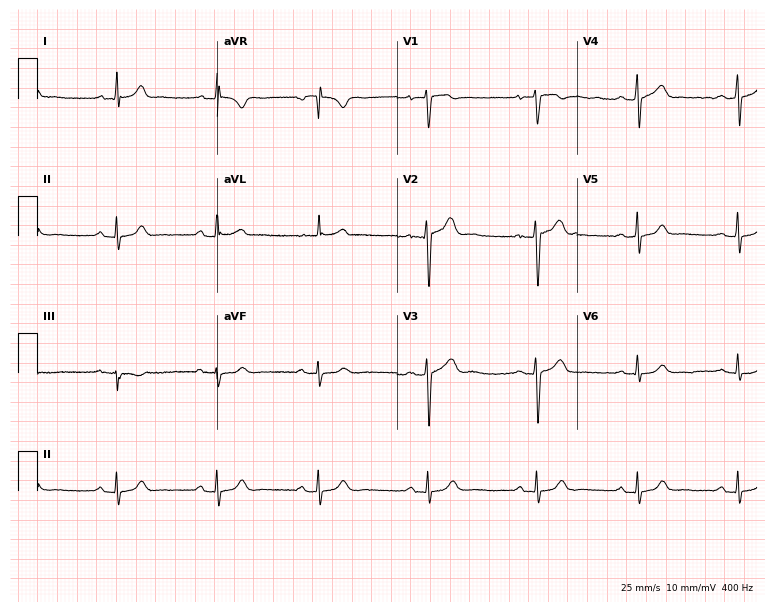
Electrocardiogram, a male, 22 years old. Overall reading on record: normal ECG.